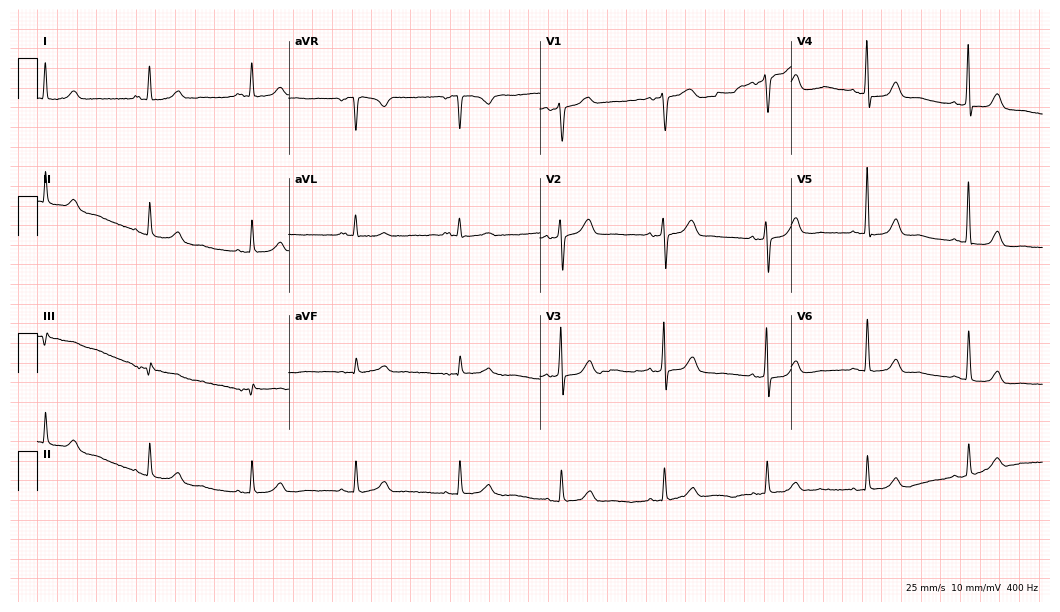
Standard 12-lead ECG recorded from a 72-year-old female patient (10.2-second recording at 400 Hz). Read as a normal ECG.